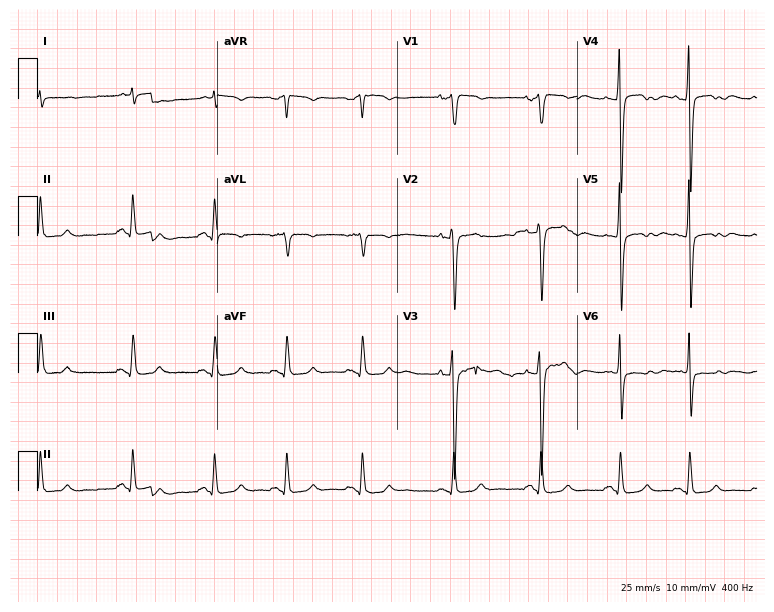
ECG (7.3-second recording at 400 Hz) — a male, 70 years old. Screened for six findings — first-degree AV block, right bundle branch block, left bundle branch block, sinus bradycardia, atrial fibrillation, sinus tachycardia — none is recorded.